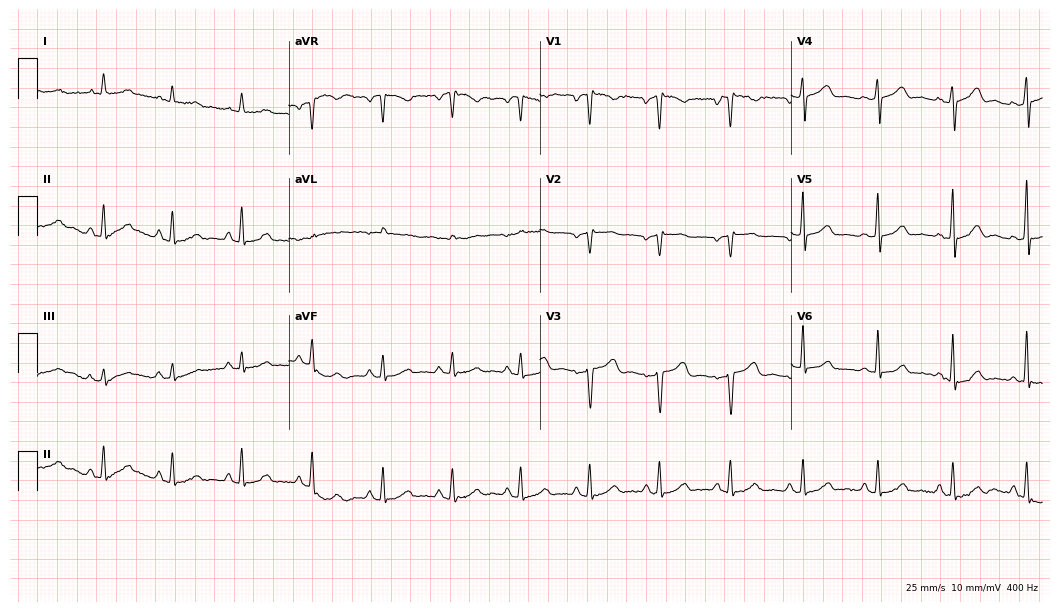
12-lead ECG from a woman, 52 years old. No first-degree AV block, right bundle branch block, left bundle branch block, sinus bradycardia, atrial fibrillation or sinus tachycardia recorded for this tracing.